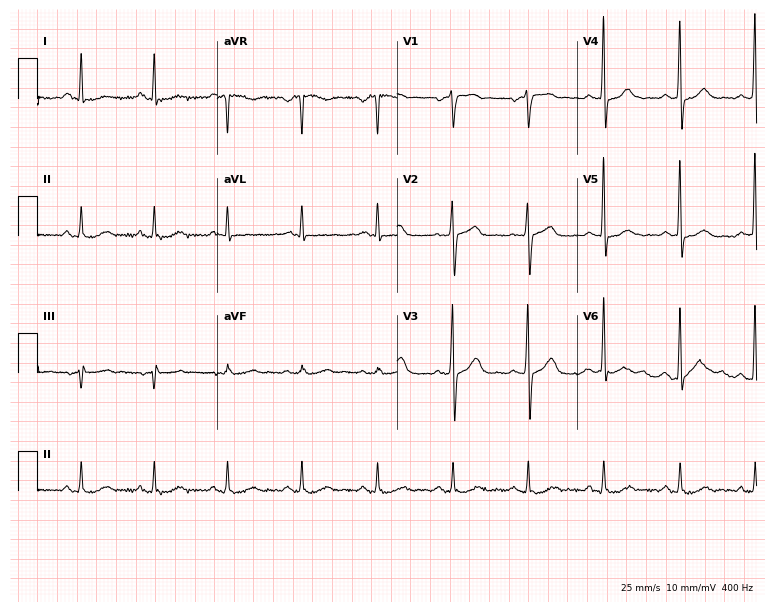
12-lead ECG from a 65-year-old male patient. No first-degree AV block, right bundle branch block, left bundle branch block, sinus bradycardia, atrial fibrillation or sinus tachycardia recorded for this tracing.